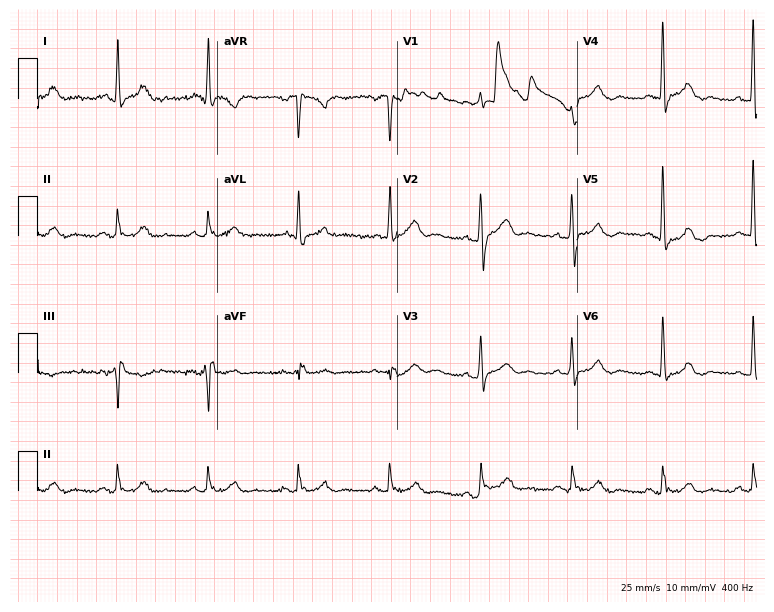
Electrocardiogram, a 71-year-old male. Of the six screened findings (first-degree AV block, right bundle branch block (RBBB), left bundle branch block (LBBB), sinus bradycardia, atrial fibrillation (AF), sinus tachycardia), none is recorded.